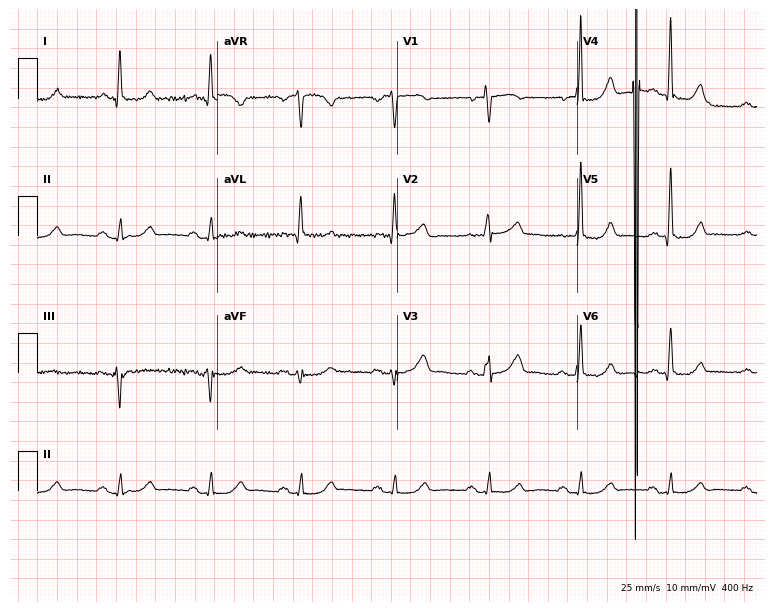
Standard 12-lead ECG recorded from a woman, 64 years old. Read as a normal ECG.